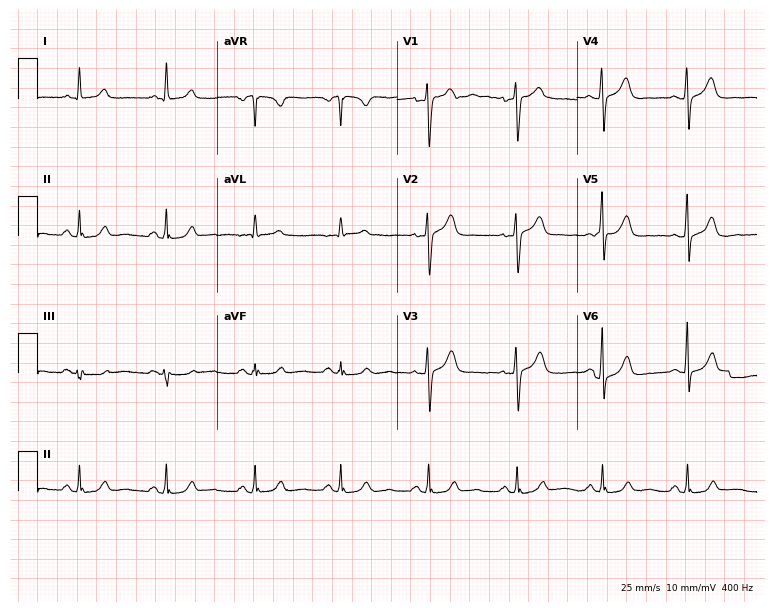
Electrocardiogram, a 41-year-old female. Overall reading on record: normal ECG.